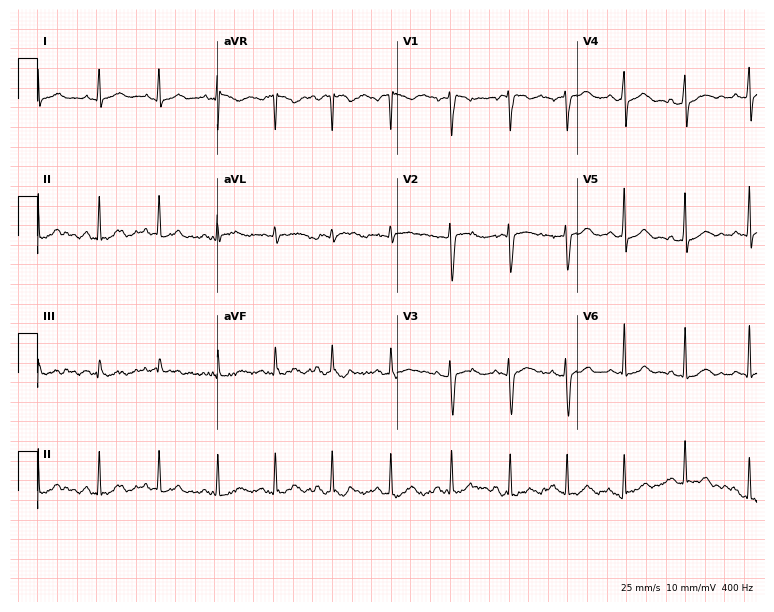
Resting 12-lead electrocardiogram (7.3-second recording at 400 Hz). Patient: a female, 29 years old. None of these six findings is recorded: first-degree AV block, right bundle branch block, left bundle branch block, sinus bradycardia, atrial fibrillation, sinus tachycardia.